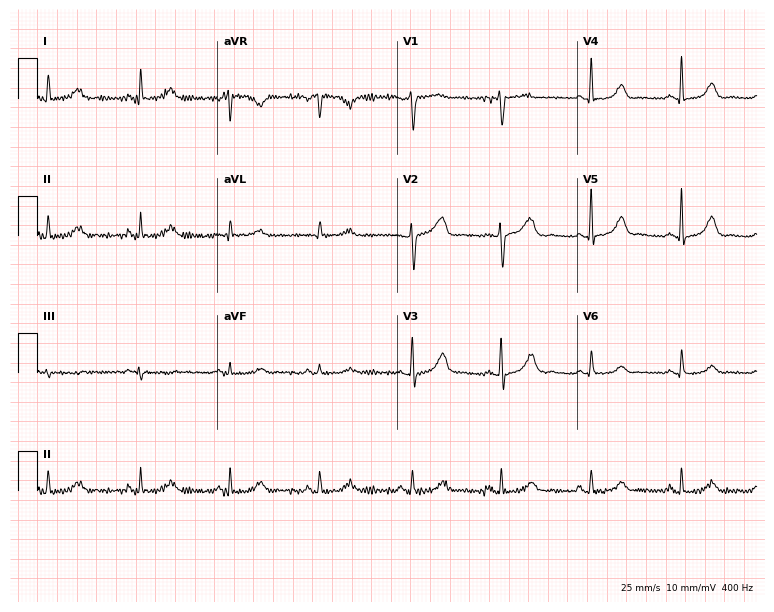
Resting 12-lead electrocardiogram (7.3-second recording at 400 Hz). Patient: a female, 50 years old. Read as a normal ECG.